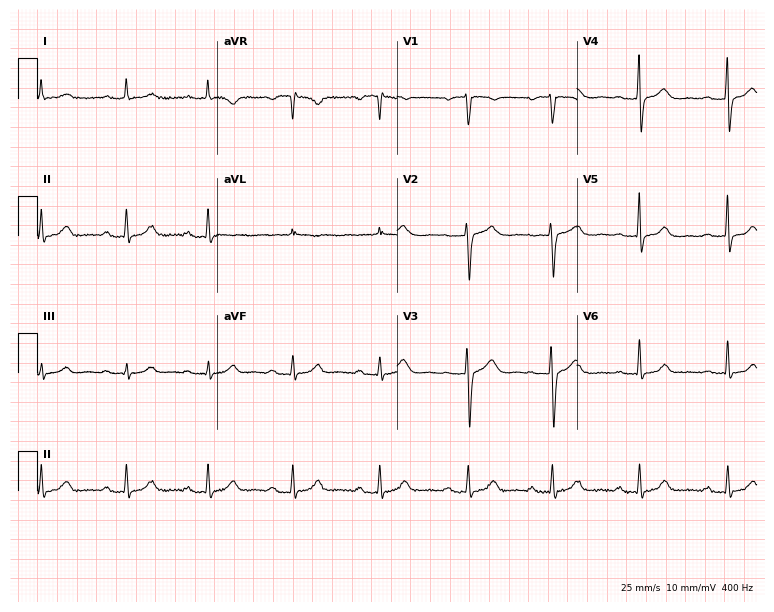
Resting 12-lead electrocardiogram. Patient: a 53-year-old woman. None of these six findings is recorded: first-degree AV block, right bundle branch block, left bundle branch block, sinus bradycardia, atrial fibrillation, sinus tachycardia. Findings outside these six are not listed.